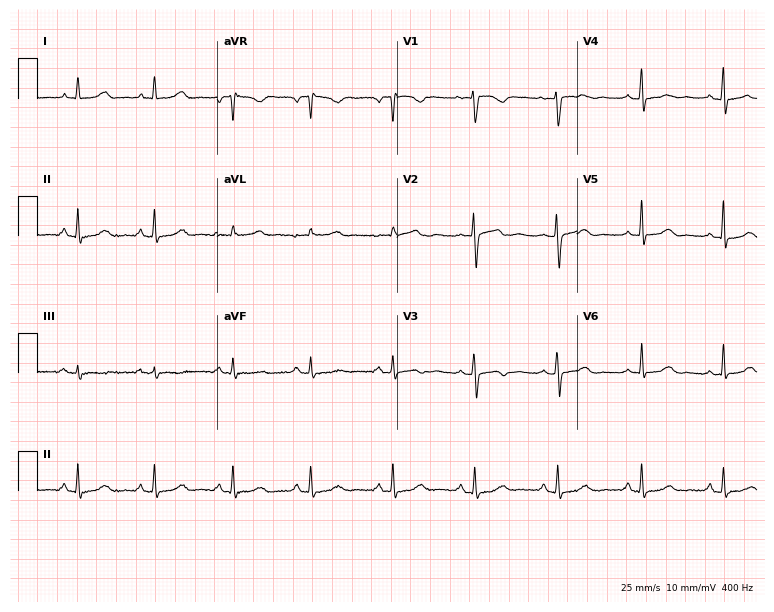
Resting 12-lead electrocardiogram (7.3-second recording at 400 Hz). Patient: a female, 39 years old. None of these six findings is recorded: first-degree AV block, right bundle branch block, left bundle branch block, sinus bradycardia, atrial fibrillation, sinus tachycardia. Findings outside these six are not listed.